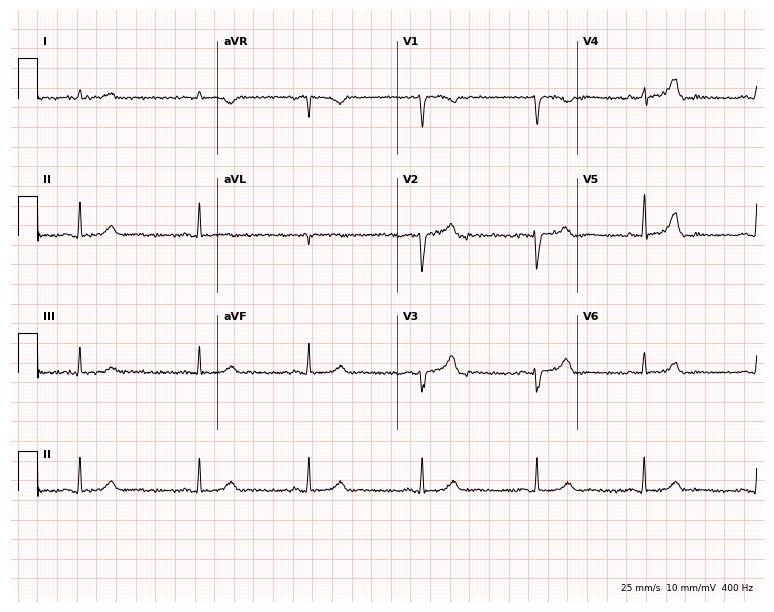
12-lead ECG from a female patient, 42 years old (7.3-second recording at 400 Hz). No first-degree AV block, right bundle branch block (RBBB), left bundle branch block (LBBB), sinus bradycardia, atrial fibrillation (AF) or sinus tachycardia recorded for this tracing. Only these six findings were labelled.